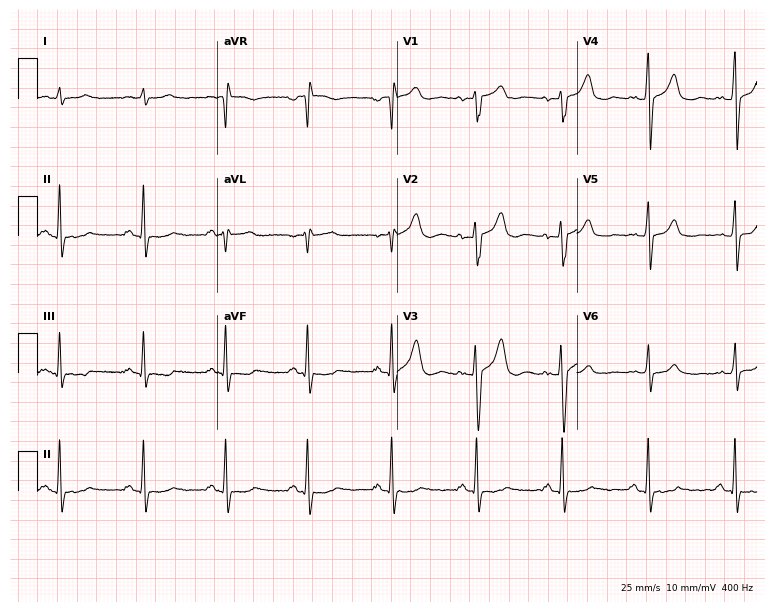
Electrocardiogram (7.3-second recording at 400 Hz), a male patient, 40 years old. Of the six screened findings (first-degree AV block, right bundle branch block, left bundle branch block, sinus bradycardia, atrial fibrillation, sinus tachycardia), none is recorded.